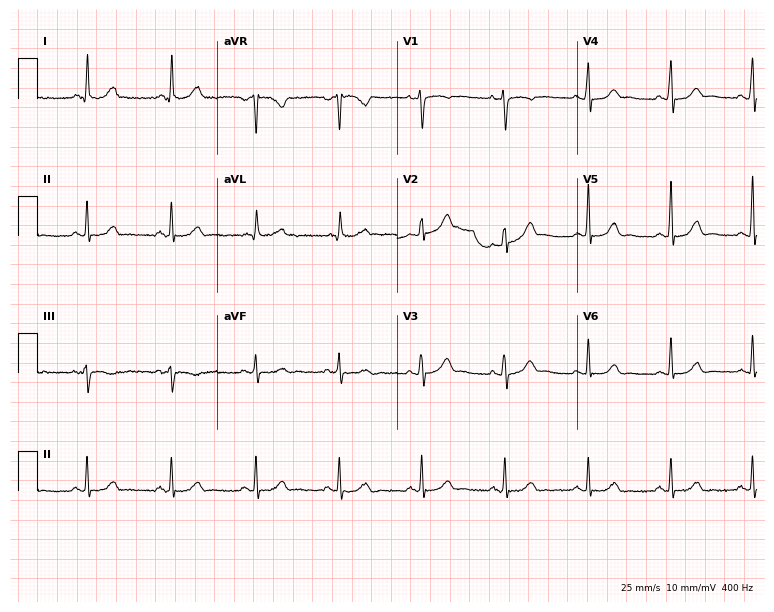
ECG (7.3-second recording at 400 Hz) — a 59-year-old female patient. Labelled as a normal ECG.